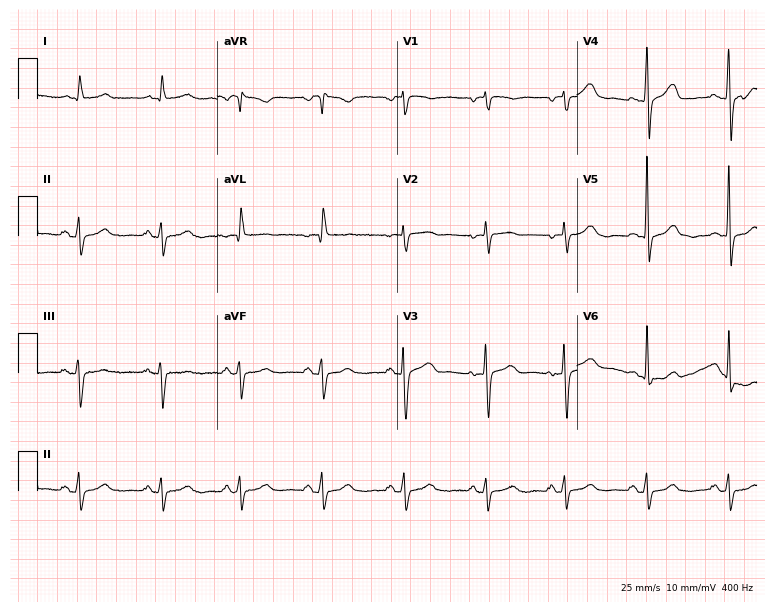
12-lead ECG from a 78-year-old woman (7.3-second recording at 400 Hz). No first-degree AV block, right bundle branch block, left bundle branch block, sinus bradycardia, atrial fibrillation or sinus tachycardia recorded for this tracing. Other findings, if any, are not listed.